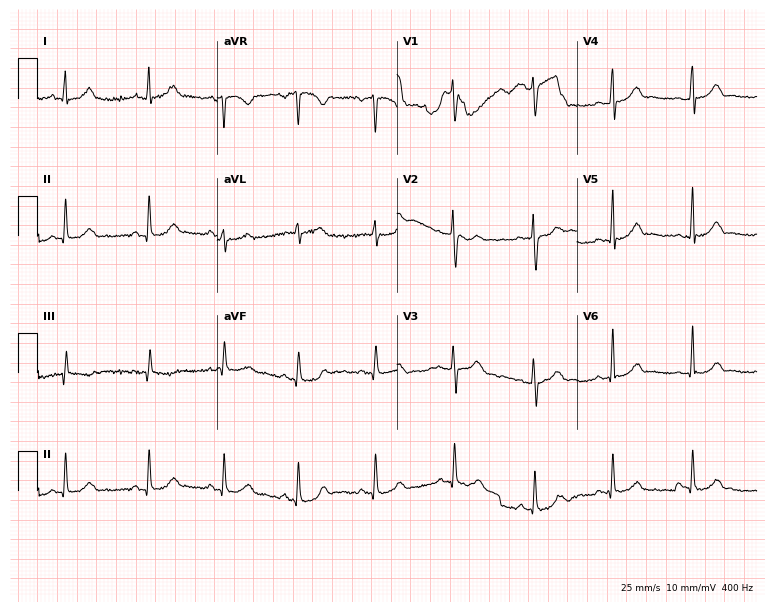
ECG — a female, 30 years old. Labelled as a normal ECG.